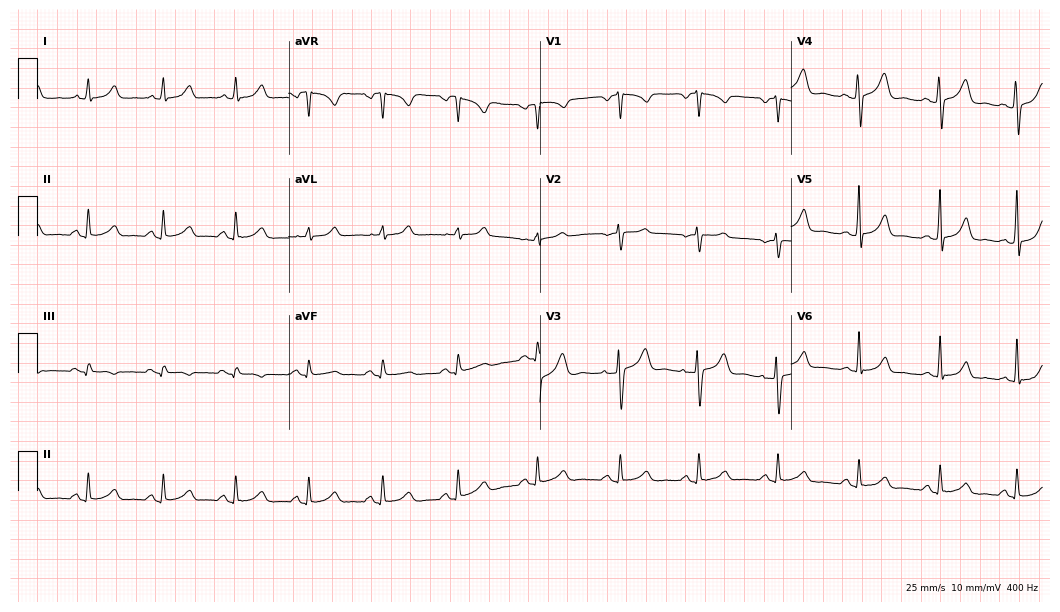
12-lead ECG from a 38-year-old woman (10.2-second recording at 400 Hz). Recorded interpretation: within normal limits.